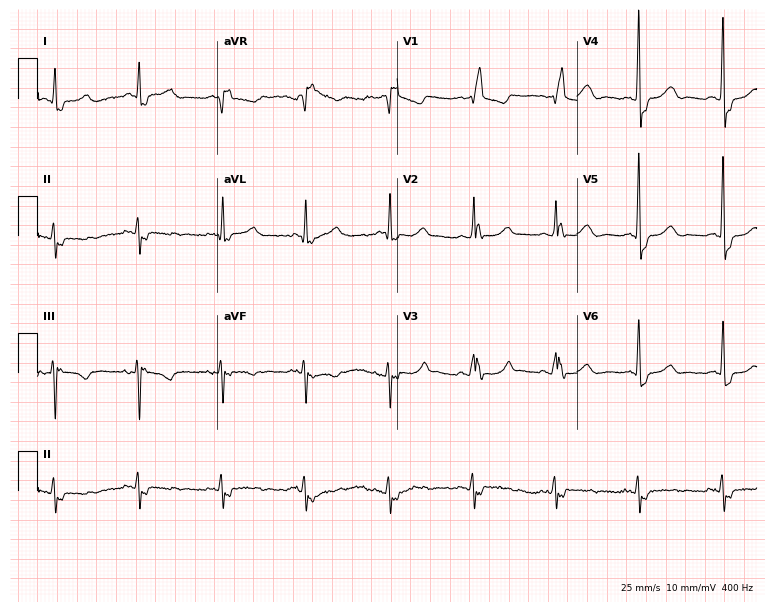
12-lead ECG from a 52-year-old male. Findings include right bundle branch block (RBBB).